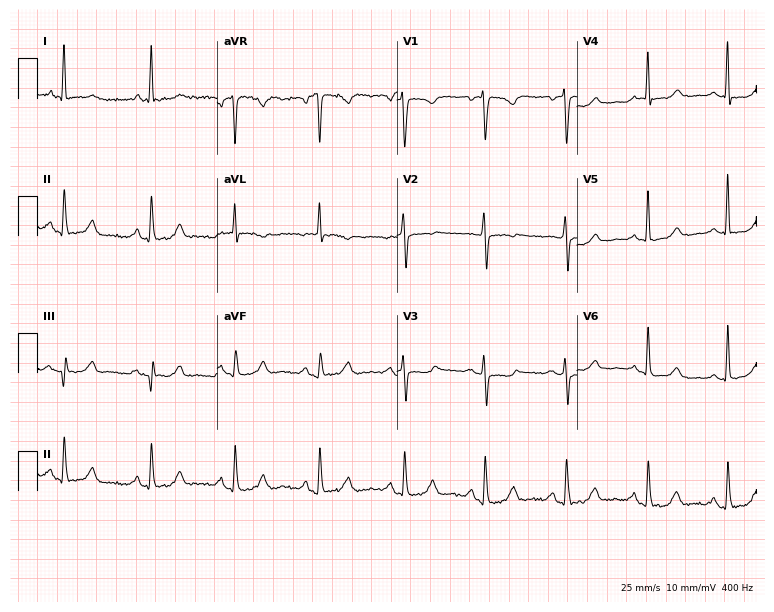
Resting 12-lead electrocardiogram. Patient: a female, 63 years old. None of these six findings is recorded: first-degree AV block, right bundle branch block, left bundle branch block, sinus bradycardia, atrial fibrillation, sinus tachycardia.